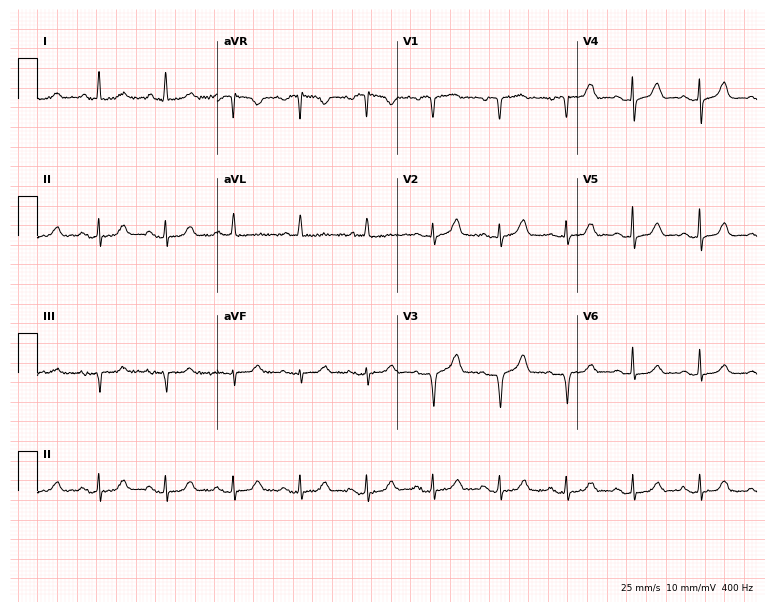
Standard 12-lead ECG recorded from an 81-year-old woman (7.3-second recording at 400 Hz). None of these six findings is recorded: first-degree AV block, right bundle branch block, left bundle branch block, sinus bradycardia, atrial fibrillation, sinus tachycardia.